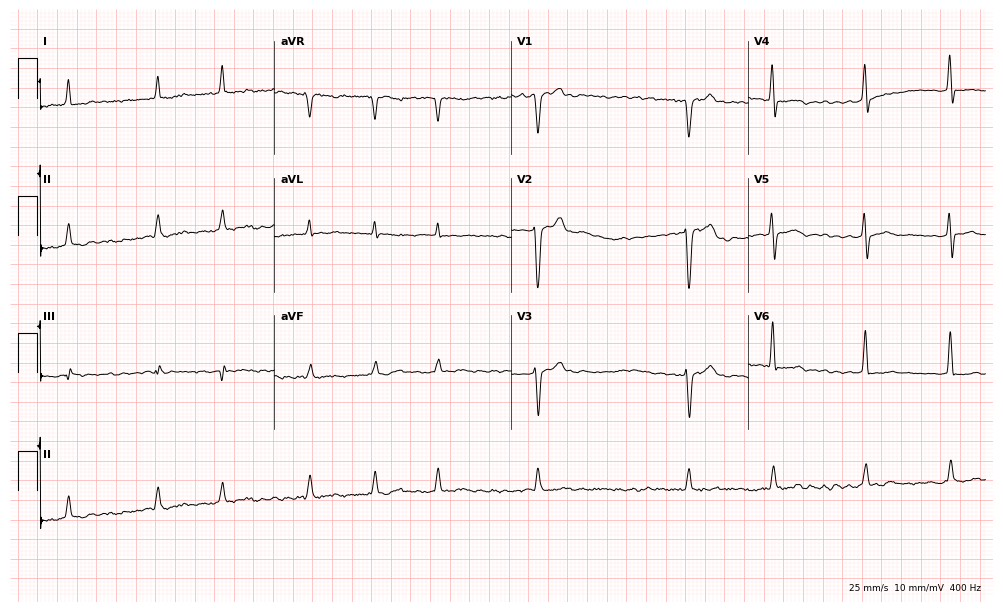
Resting 12-lead electrocardiogram (9.7-second recording at 400 Hz). Patient: a male, 60 years old. The tracing shows atrial fibrillation.